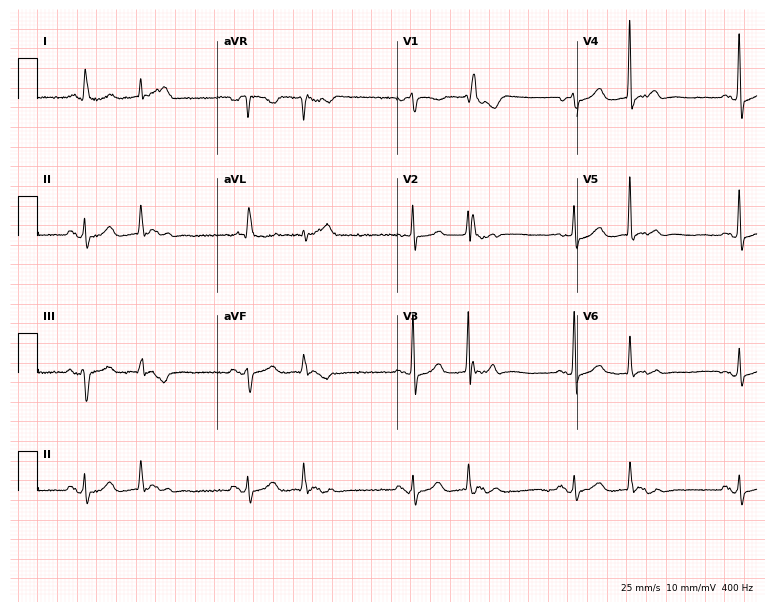
Electrocardiogram (7.3-second recording at 400 Hz), a 75-year-old female patient. Of the six screened findings (first-degree AV block, right bundle branch block, left bundle branch block, sinus bradycardia, atrial fibrillation, sinus tachycardia), none is recorded. Other findings, if any, are not listed.